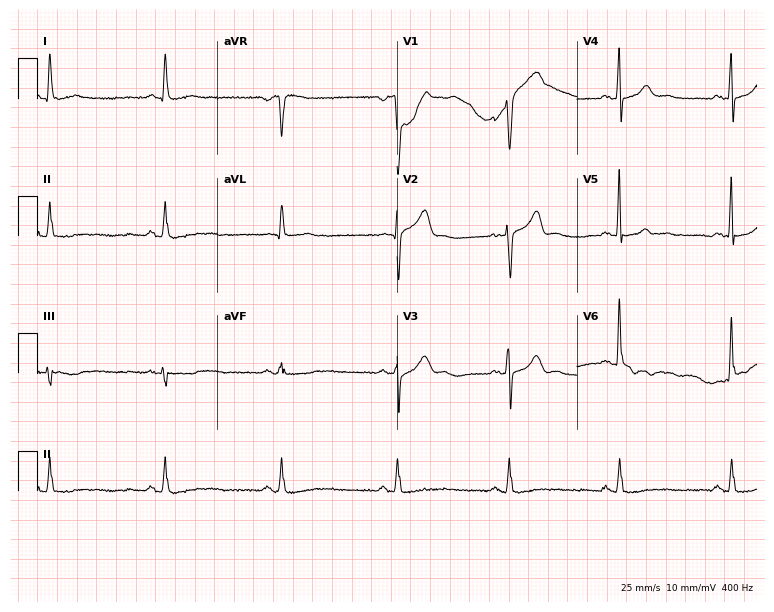
12-lead ECG from a 53-year-old man. Screened for six findings — first-degree AV block, right bundle branch block, left bundle branch block, sinus bradycardia, atrial fibrillation, sinus tachycardia — none is recorded.